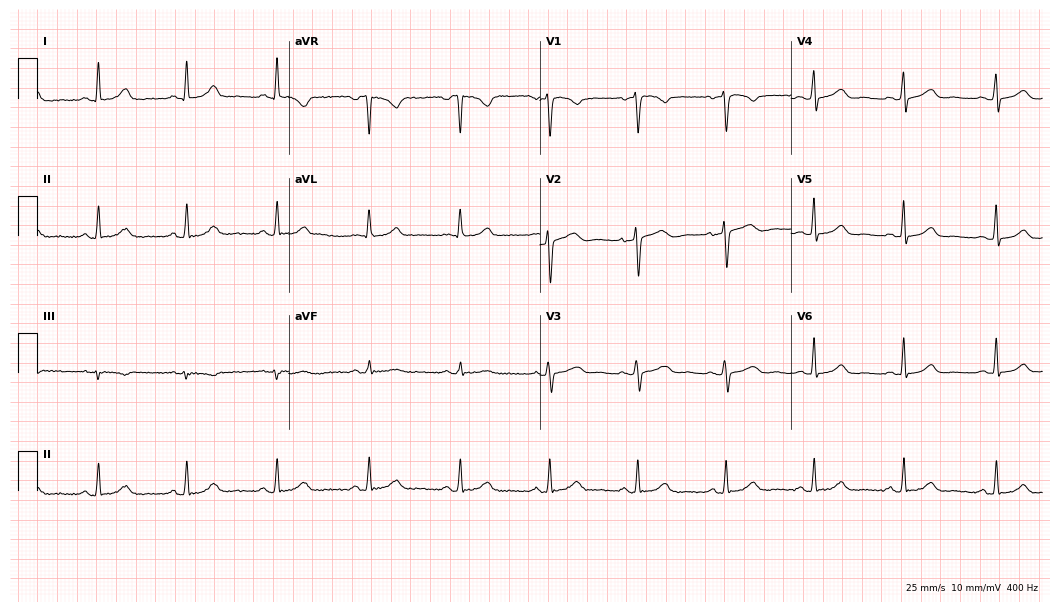
12-lead ECG from a 59-year-old female. Labelled as a normal ECG.